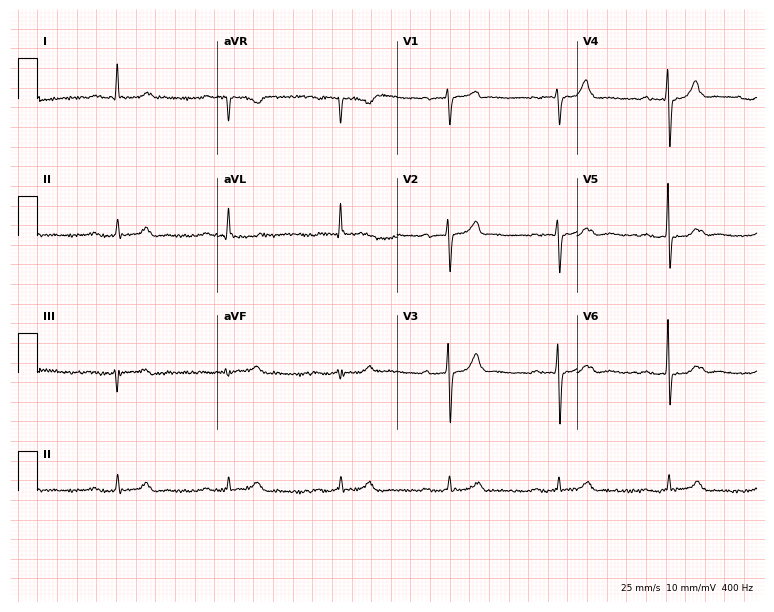
ECG (7.3-second recording at 400 Hz) — an 80-year-old man. Labelled as a normal ECG.